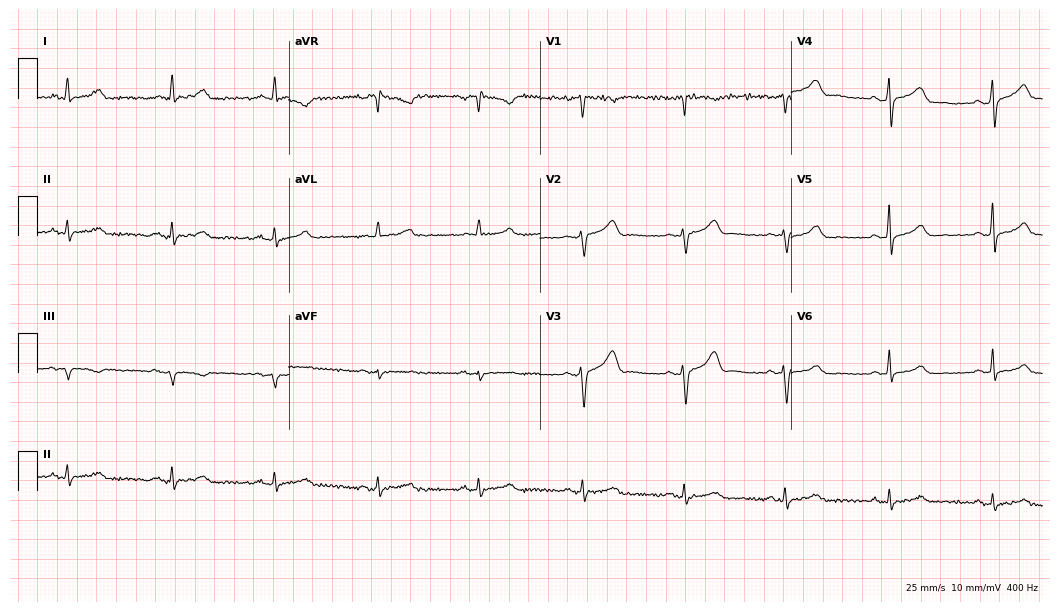
Resting 12-lead electrocardiogram (10.2-second recording at 400 Hz). Patient: a man, 40 years old. Read as a normal ECG.